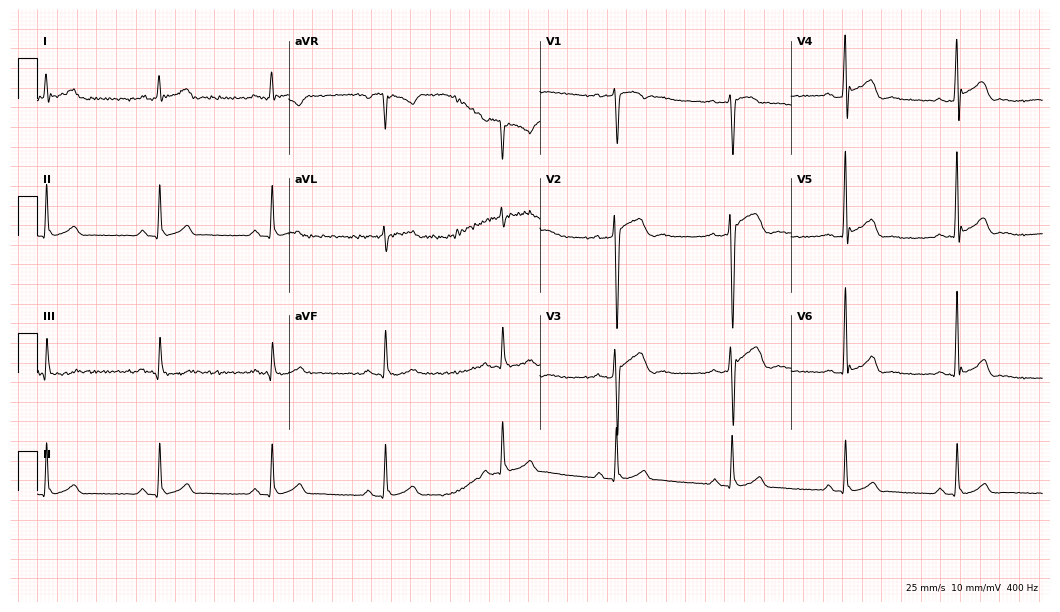
Standard 12-lead ECG recorded from a man, 34 years old (10.2-second recording at 400 Hz). Read as a normal ECG.